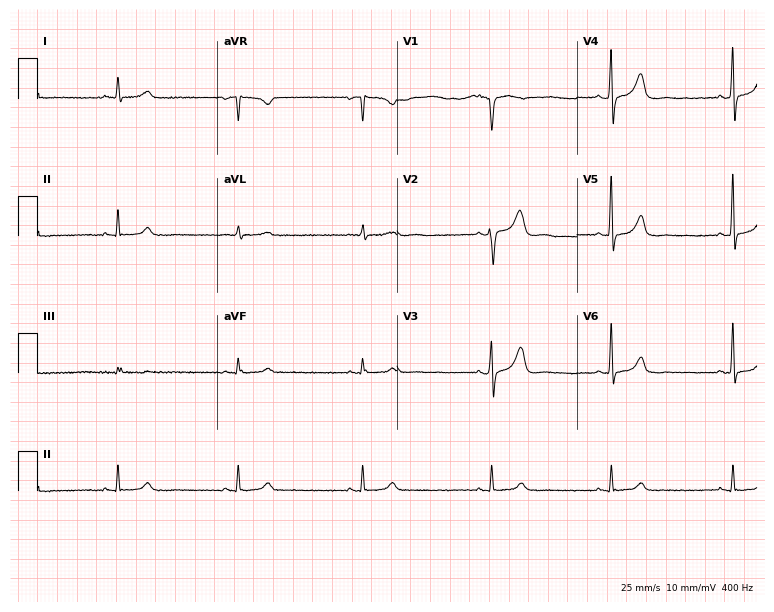
12-lead ECG from a man, 51 years old. Shows sinus bradycardia (a sinus rate of 50 beats per minute or less).